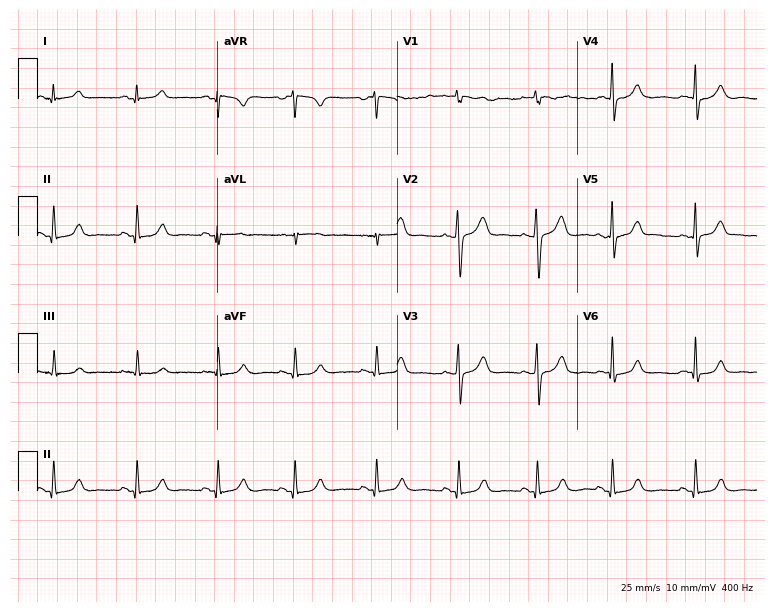
Resting 12-lead electrocardiogram. Patient: a female, 25 years old. Read as a normal ECG.